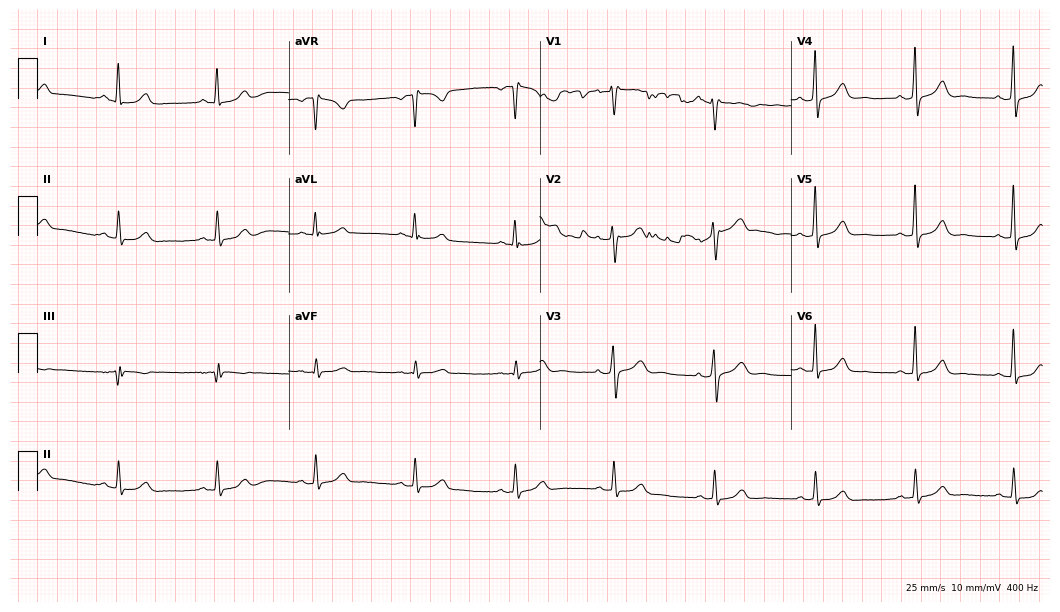
Resting 12-lead electrocardiogram (10.2-second recording at 400 Hz). Patient: a 34-year-old female. Read as a normal ECG.